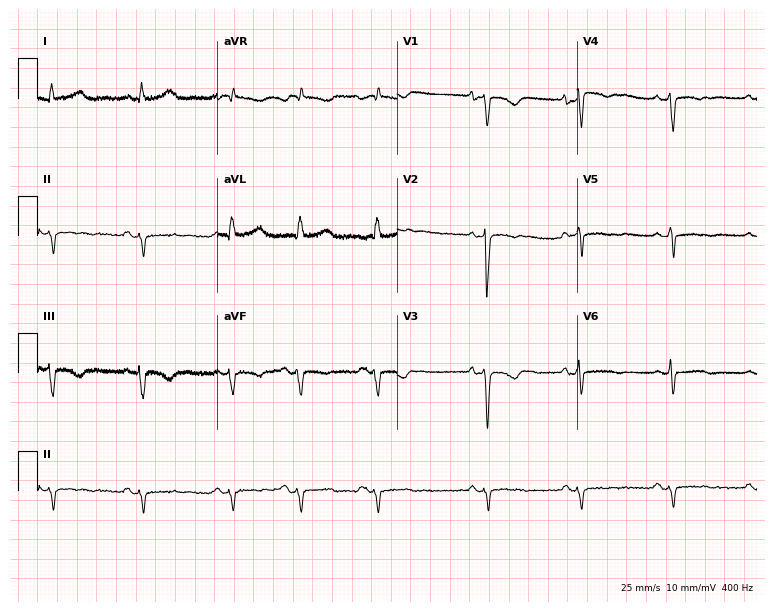
12-lead ECG from a female, 80 years old. Screened for six findings — first-degree AV block, right bundle branch block, left bundle branch block, sinus bradycardia, atrial fibrillation, sinus tachycardia — none is recorded.